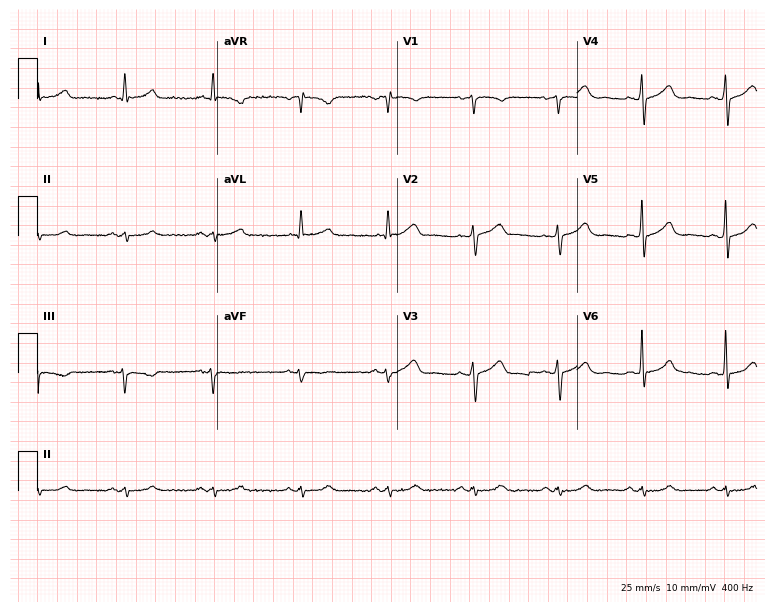
12-lead ECG from a man, 53 years old (7.3-second recording at 400 Hz). No first-degree AV block, right bundle branch block, left bundle branch block, sinus bradycardia, atrial fibrillation or sinus tachycardia recorded for this tracing. Findings outside these six are not listed.